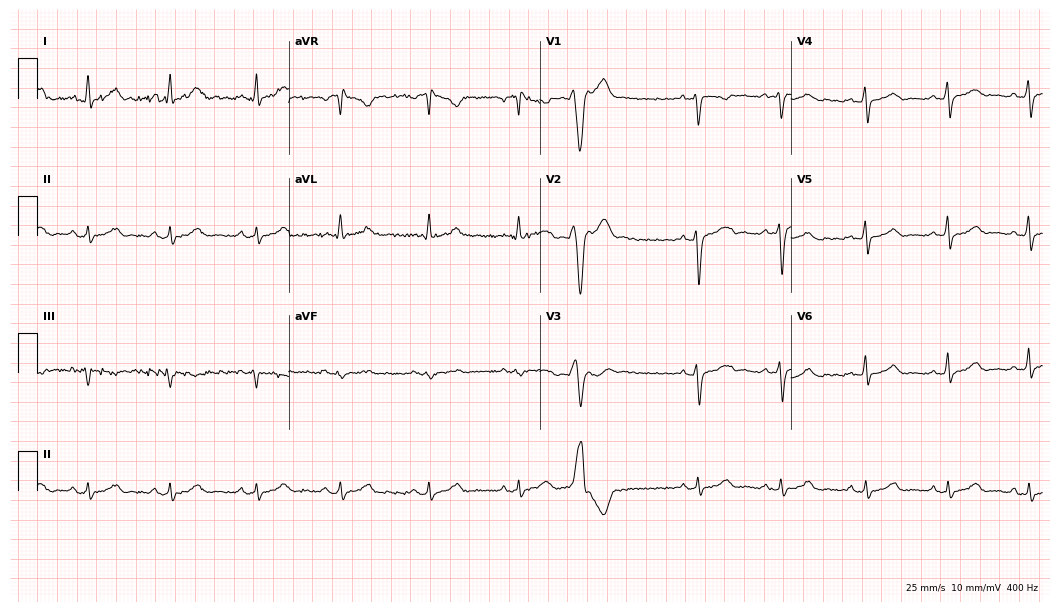
ECG (10.2-second recording at 400 Hz) — a 19-year-old female patient. Screened for six findings — first-degree AV block, right bundle branch block (RBBB), left bundle branch block (LBBB), sinus bradycardia, atrial fibrillation (AF), sinus tachycardia — none is recorded. Findings outside these six are not listed.